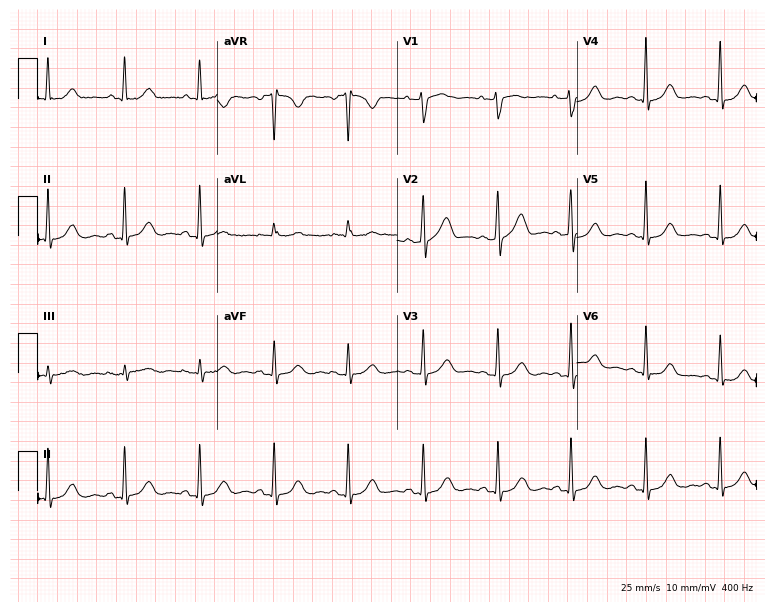
Electrocardiogram (7.3-second recording at 400 Hz), a female, 54 years old. Of the six screened findings (first-degree AV block, right bundle branch block, left bundle branch block, sinus bradycardia, atrial fibrillation, sinus tachycardia), none is recorded. Only these six findings were labelled.